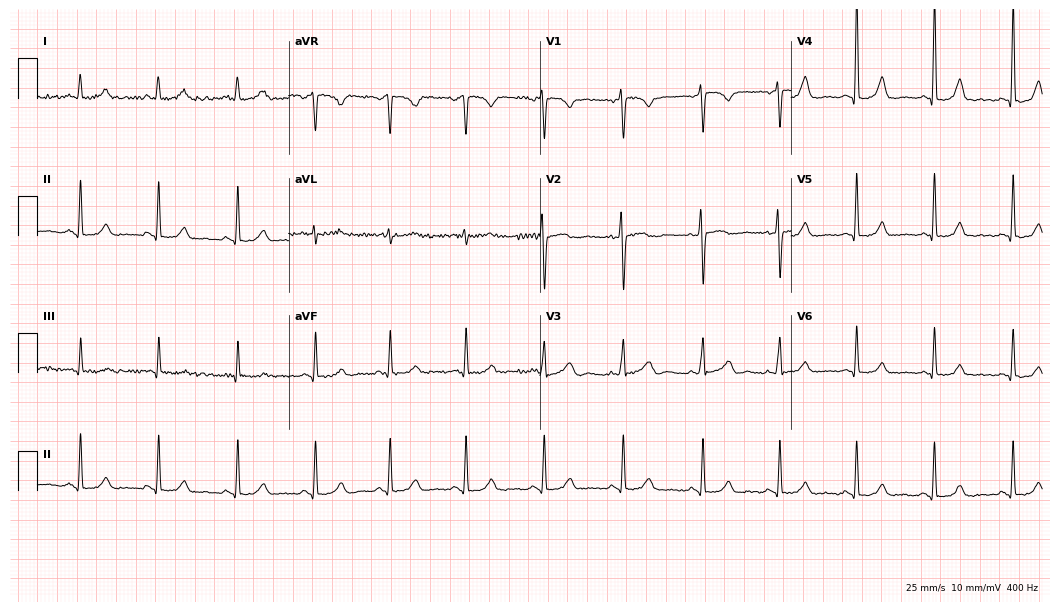
Resting 12-lead electrocardiogram. Patient: a female, 42 years old. Read as a normal ECG.